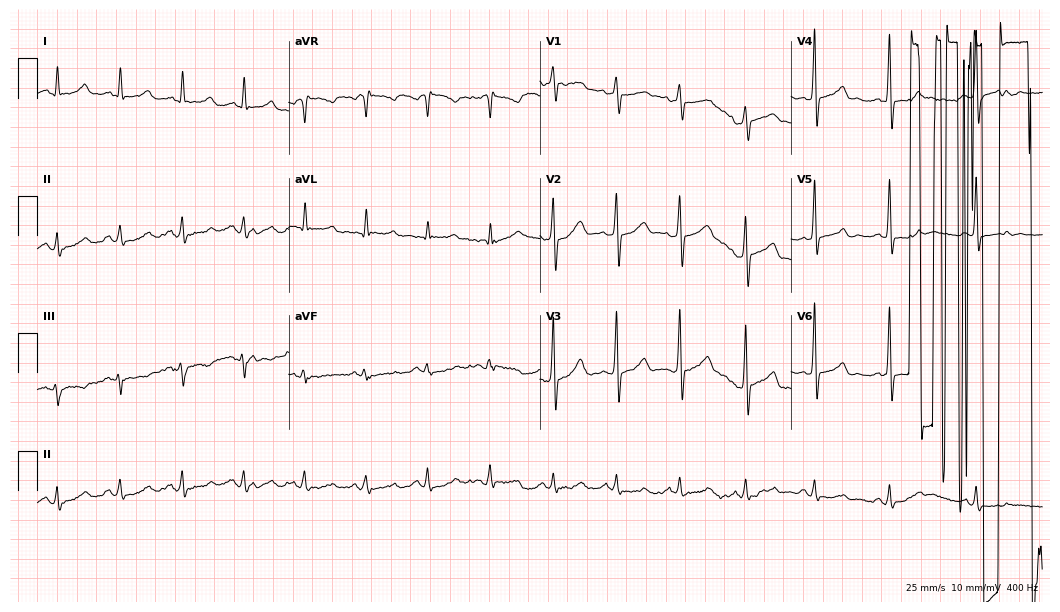
Electrocardiogram, a male patient, 51 years old. Of the six screened findings (first-degree AV block, right bundle branch block, left bundle branch block, sinus bradycardia, atrial fibrillation, sinus tachycardia), none is recorded.